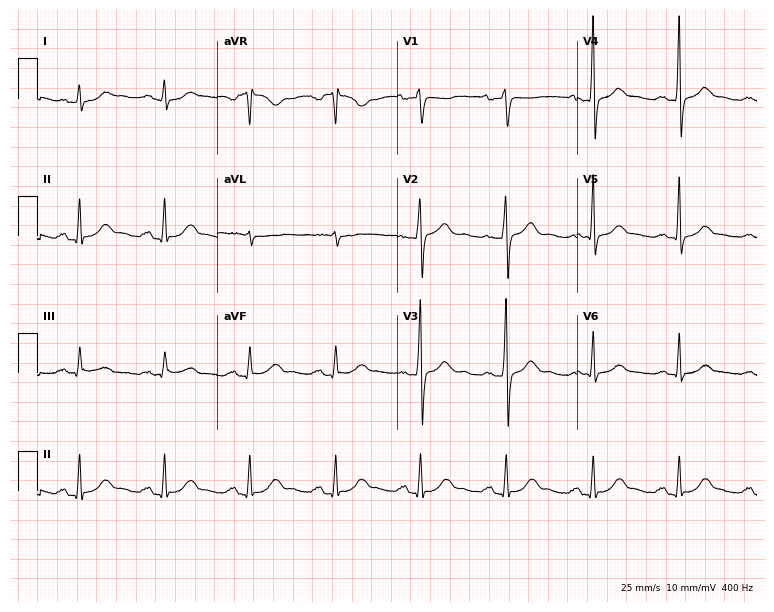
ECG (7.3-second recording at 400 Hz) — a 54-year-old man. Screened for six findings — first-degree AV block, right bundle branch block, left bundle branch block, sinus bradycardia, atrial fibrillation, sinus tachycardia — none is recorded.